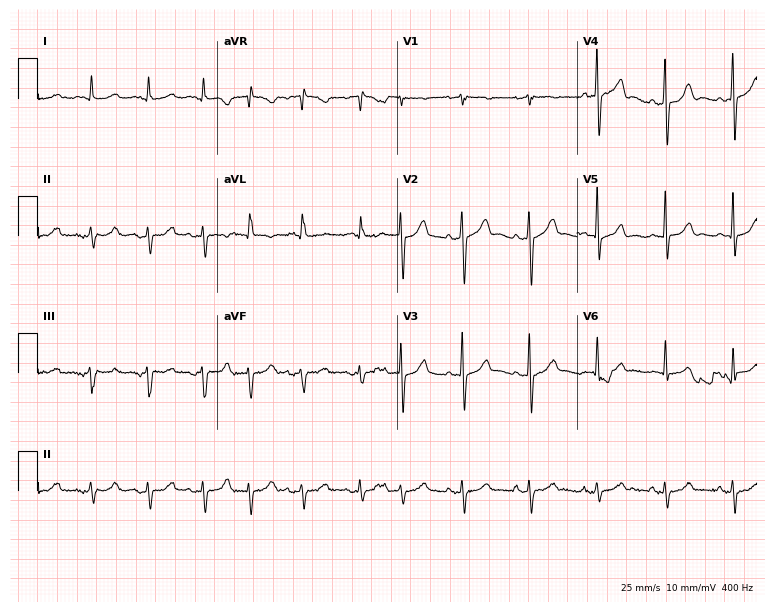
12-lead ECG from a female patient, 79 years old. No first-degree AV block, right bundle branch block (RBBB), left bundle branch block (LBBB), sinus bradycardia, atrial fibrillation (AF) or sinus tachycardia recorded for this tracing. Only these six findings were labelled.